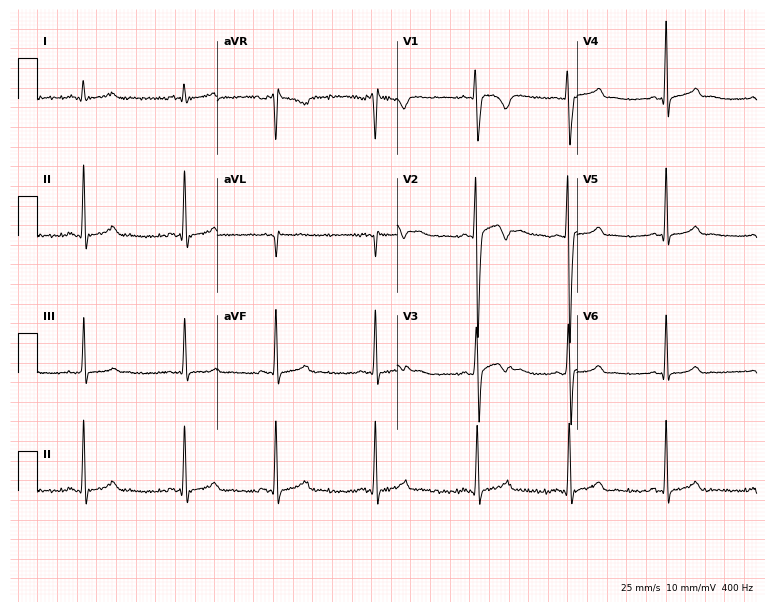
Resting 12-lead electrocardiogram (7.3-second recording at 400 Hz). Patient: a 23-year-old male. None of these six findings is recorded: first-degree AV block, right bundle branch block, left bundle branch block, sinus bradycardia, atrial fibrillation, sinus tachycardia.